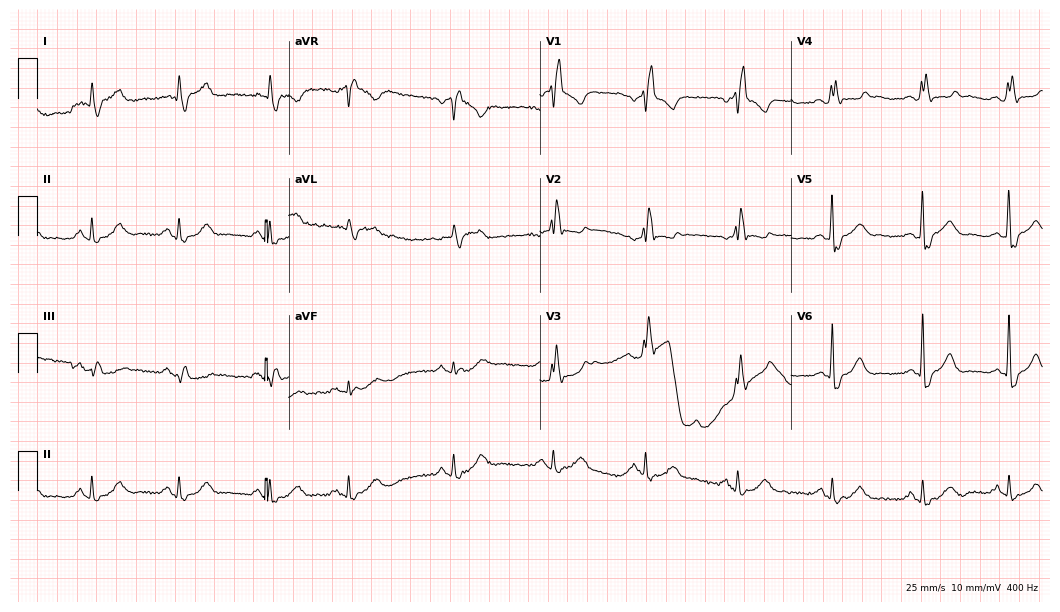
Resting 12-lead electrocardiogram (10.2-second recording at 400 Hz). Patient: a 78-year-old man. The tracing shows right bundle branch block.